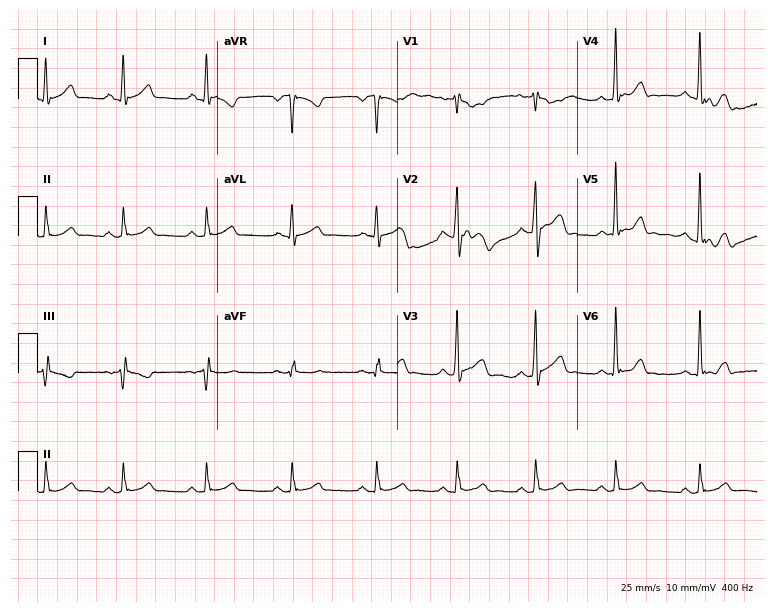
12-lead ECG from a 31-year-old male patient. No first-degree AV block, right bundle branch block, left bundle branch block, sinus bradycardia, atrial fibrillation or sinus tachycardia recorded for this tracing.